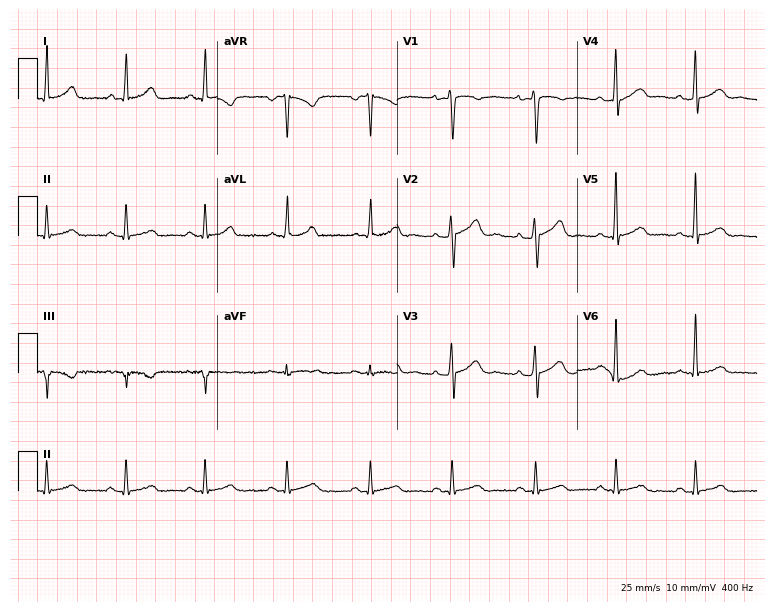
Electrocardiogram (7.3-second recording at 400 Hz), a male patient, 29 years old. Of the six screened findings (first-degree AV block, right bundle branch block (RBBB), left bundle branch block (LBBB), sinus bradycardia, atrial fibrillation (AF), sinus tachycardia), none is recorded. Findings outside these six are not listed.